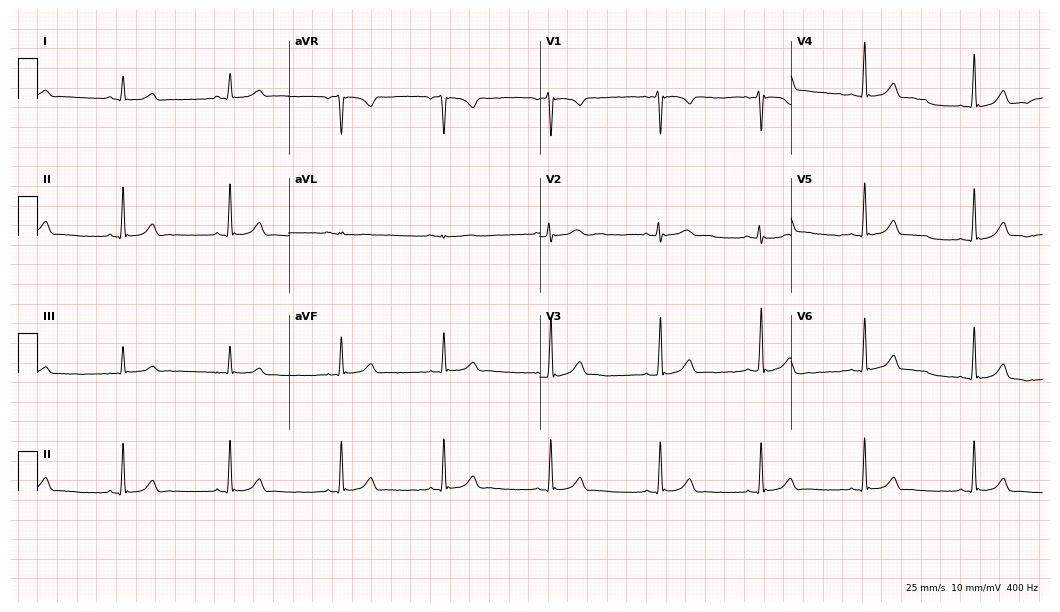
12-lead ECG from a 17-year-old female. Labelled as a normal ECG.